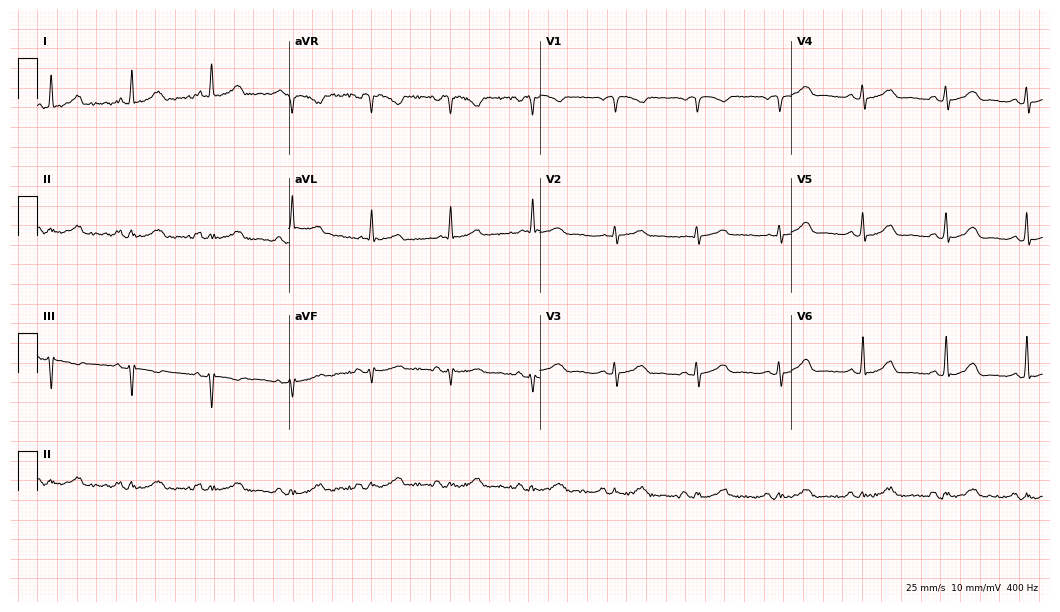
Electrocardiogram, a 56-year-old woman. Of the six screened findings (first-degree AV block, right bundle branch block (RBBB), left bundle branch block (LBBB), sinus bradycardia, atrial fibrillation (AF), sinus tachycardia), none is recorded.